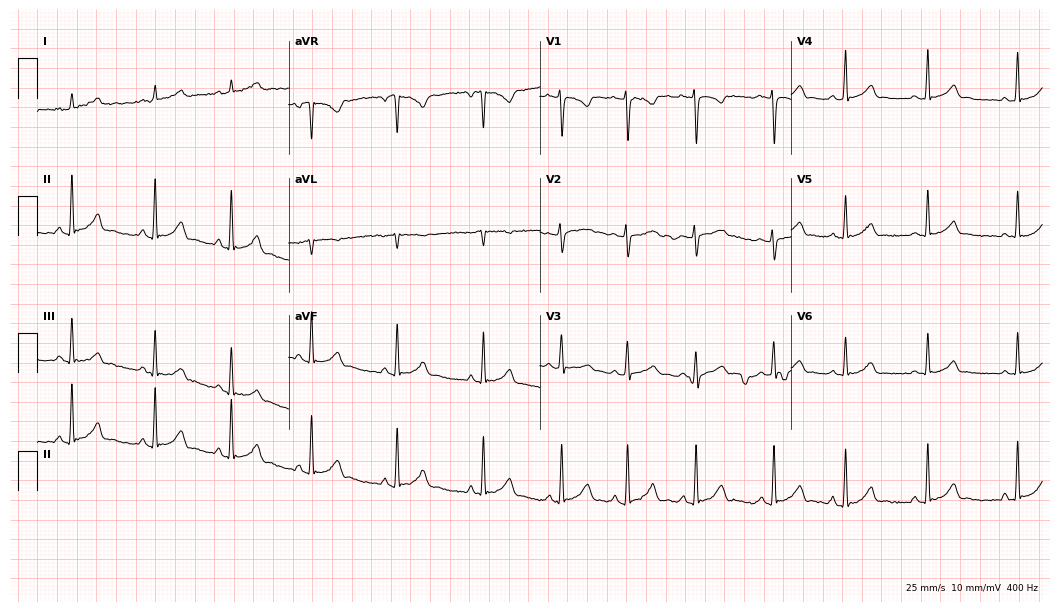
Standard 12-lead ECG recorded from a 19-year-old female (10.2-second recording at 400 Hz). Read as a normal ECG.